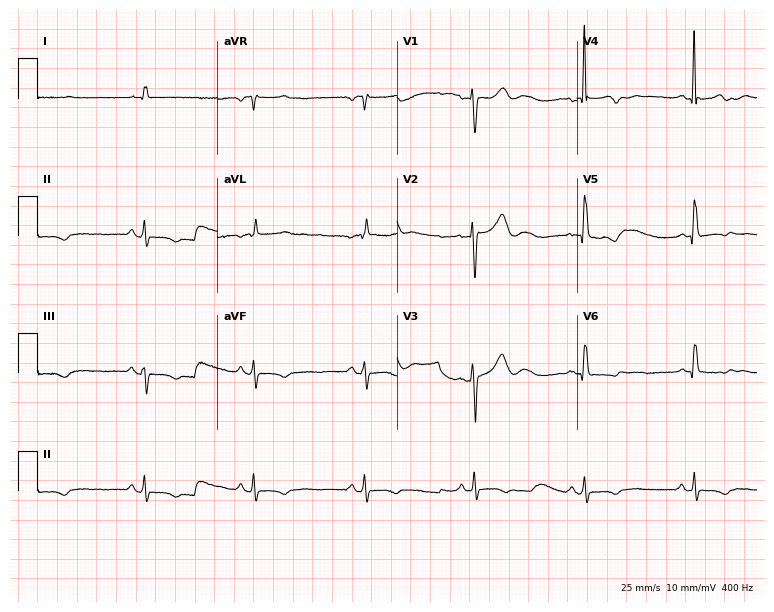
12-lead ECG from a female patient, 72 years old. No first-degree AV block, right bundle branch block, left bundle branch block, sinus bradycardia, atrial fibrillation or sinus tachycardia recorded for this tracing.